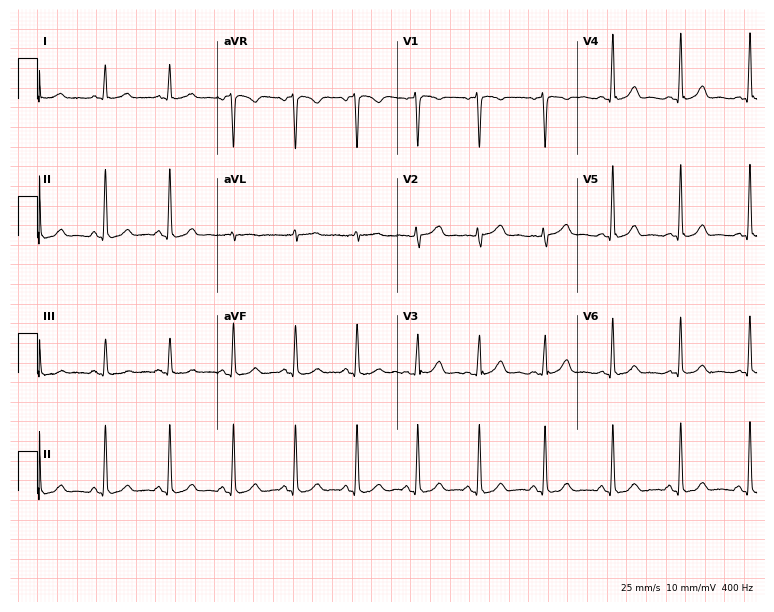
Standard 12-lead ECG recorded from a woman, 32 years old. Read as a normal ECG.